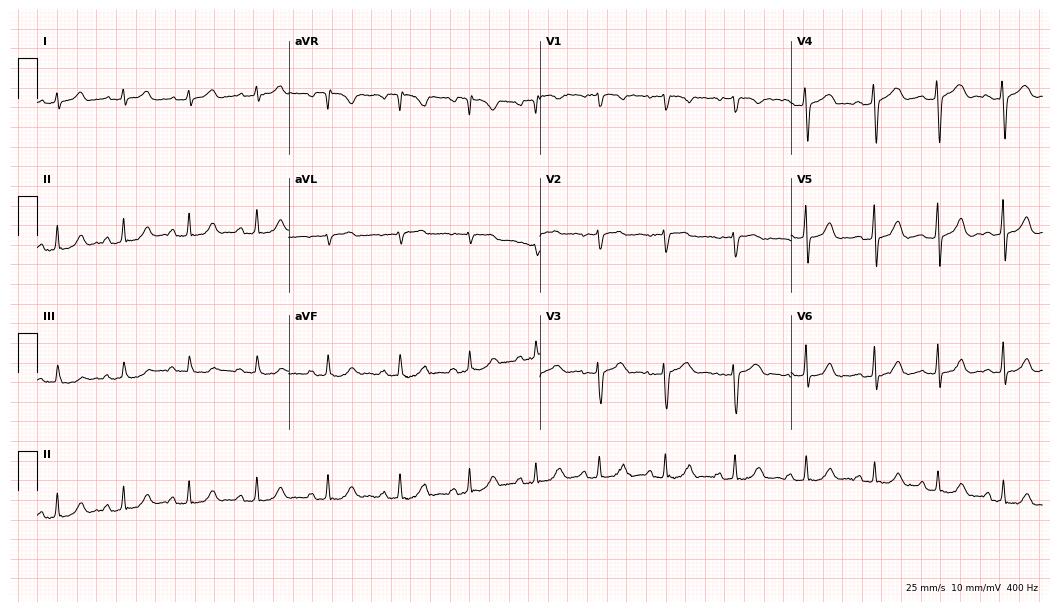
12-lead ECG from a 24-year-old woman (10.2-second recording at 400 Hz). Recorded interpretation: within normal limits.